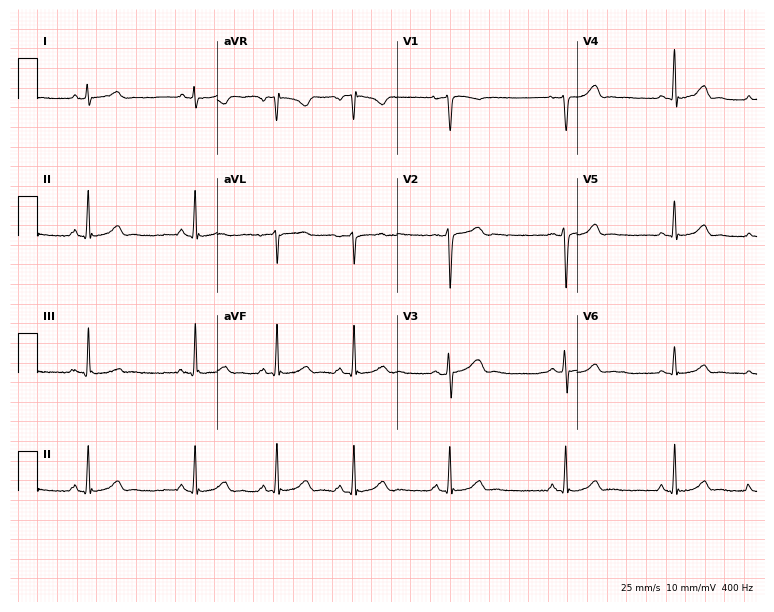
12-lead ECG from a 25-year-old woman. Labelled as a normal ECG.